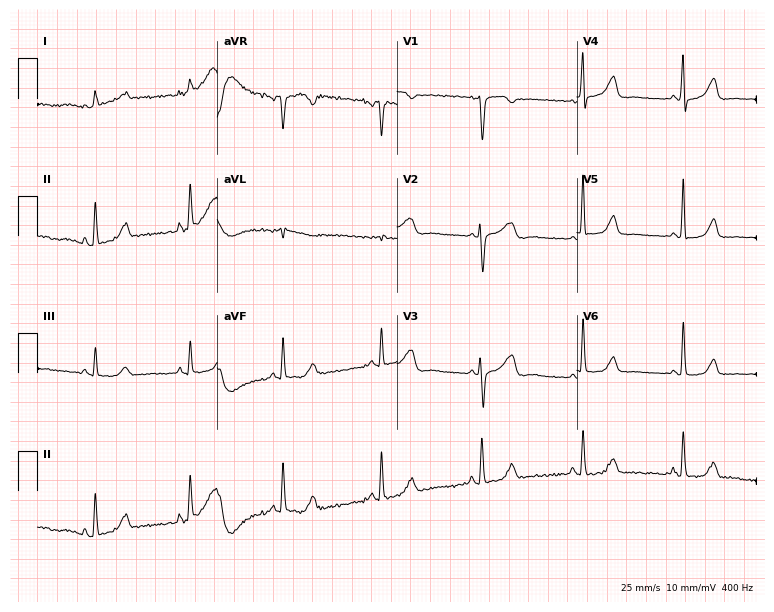
12-lead ECG (7.3-second recording at 400 Hz) from a female, 56 years old. Screened for six findings — first-degree AV block, right bundle branch block, left bundle branch block, sinus bradycardia, atrial fibrillation, sinus tachycardia — none is recorded. Findings outside these six are not listed.